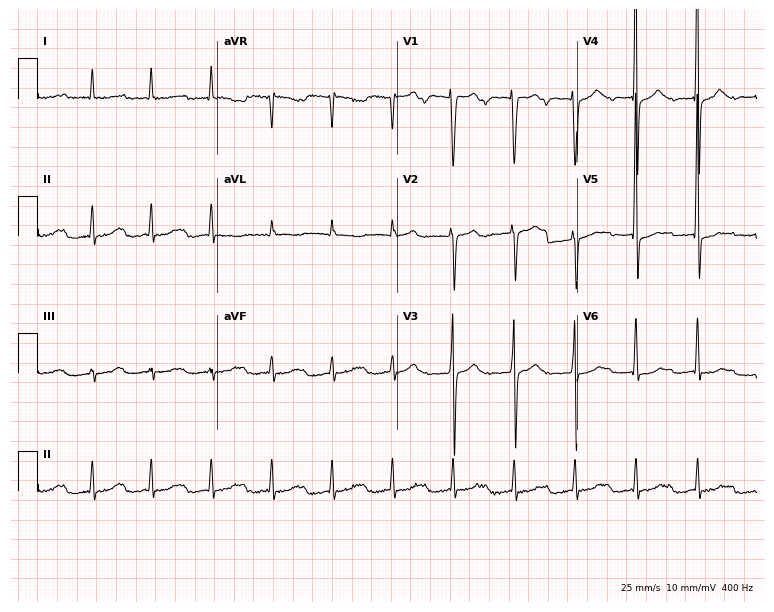
Electrocardiogram (7.3-second recording at 400 Hz), a man, 77 years old. Interpretation includes first-degree AV block.